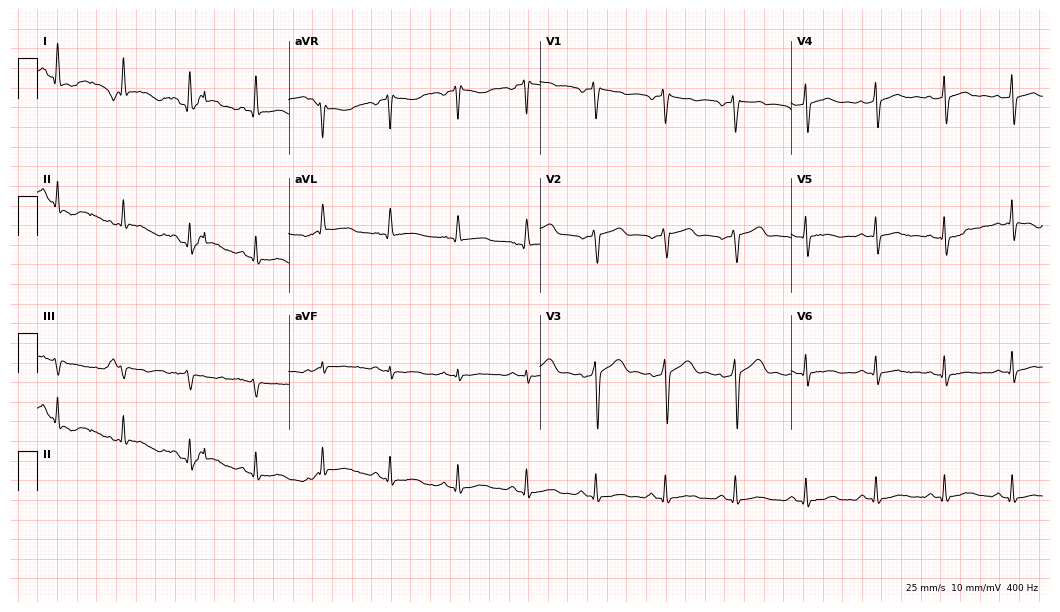
Resting 12-lead electrocardiogram. Patient: a 60-year-old male. None of these six findings is recorded: first-degree AV block, right bundle branch block, left bundle branch block, sinus bradycardia, atrial fibrillation, sinus tachycardia. Only these six findings were labelled.